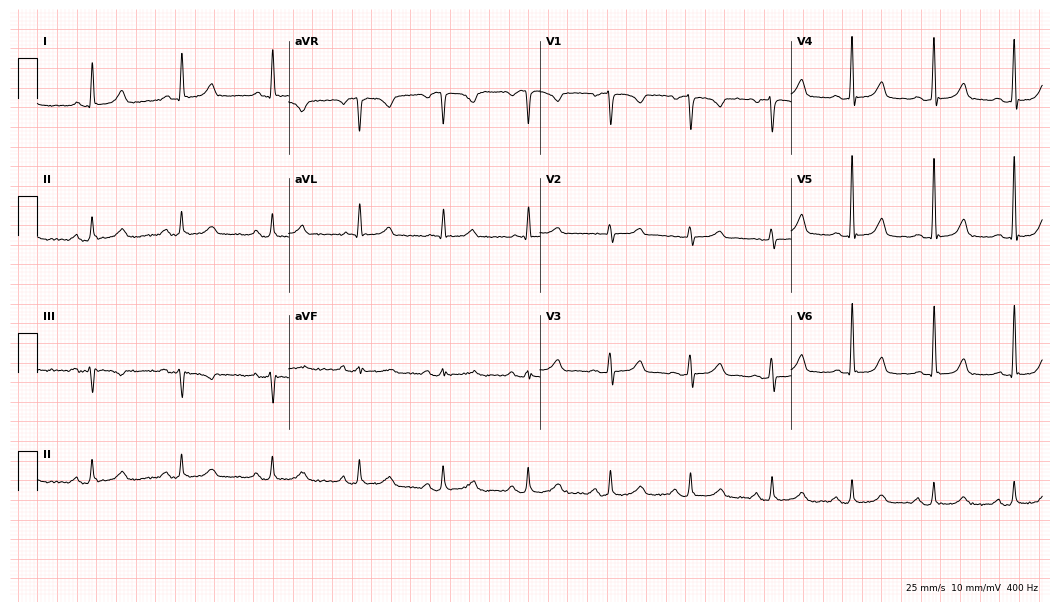
ECG — a female patient, 67 years old. Labelled as a normal ECG.